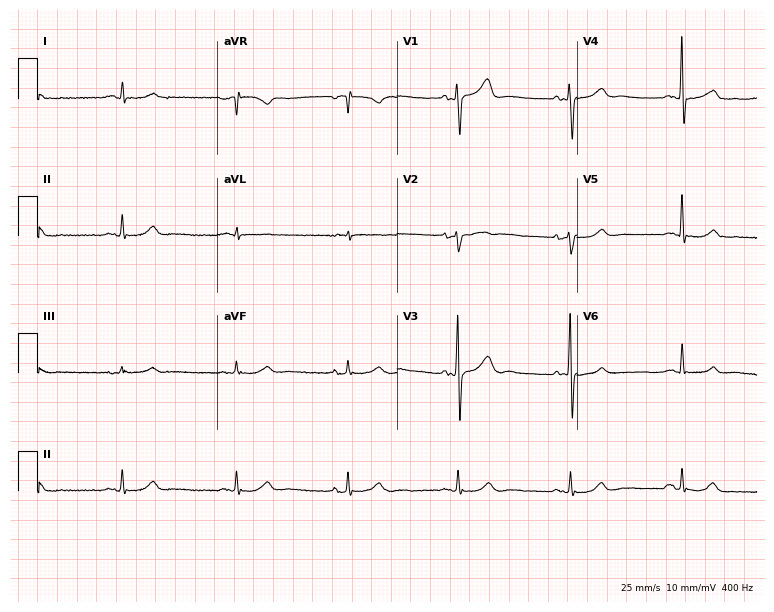
Standard 12-lead ECG recorded from a male patient, 64 years old. Read as a normal ECG.